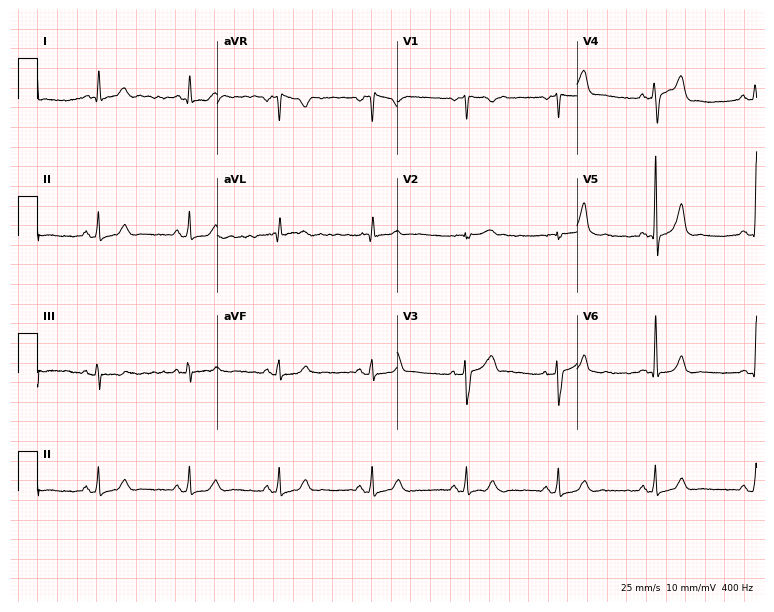
ECG (7.3-second recording at 400 Hz) — a male, 60 years old. Labelled as a normal ECG.